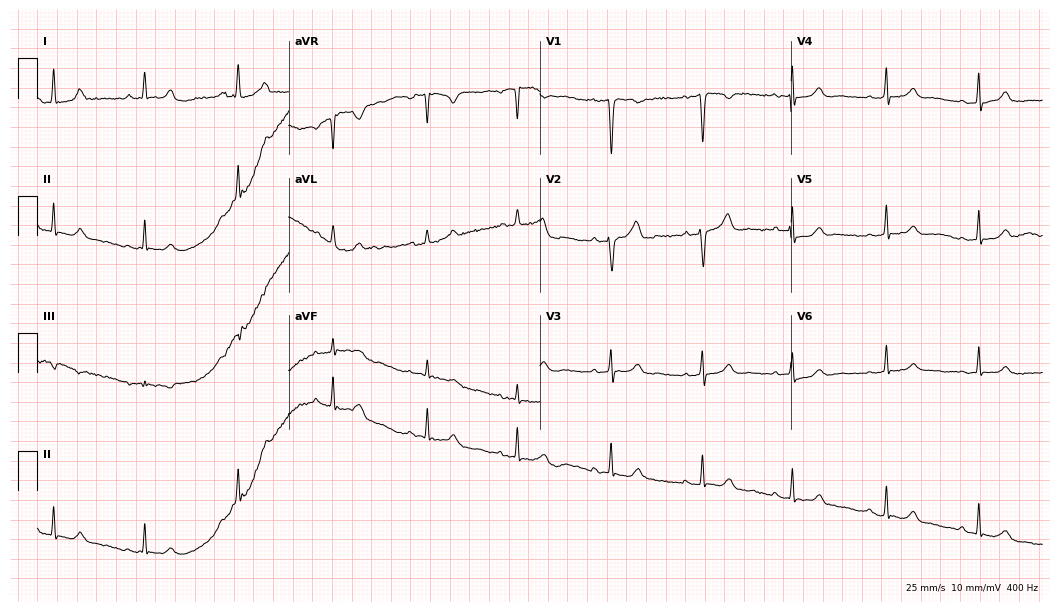
ECG — a 27-year-old female. Labelled as a normal ECG.